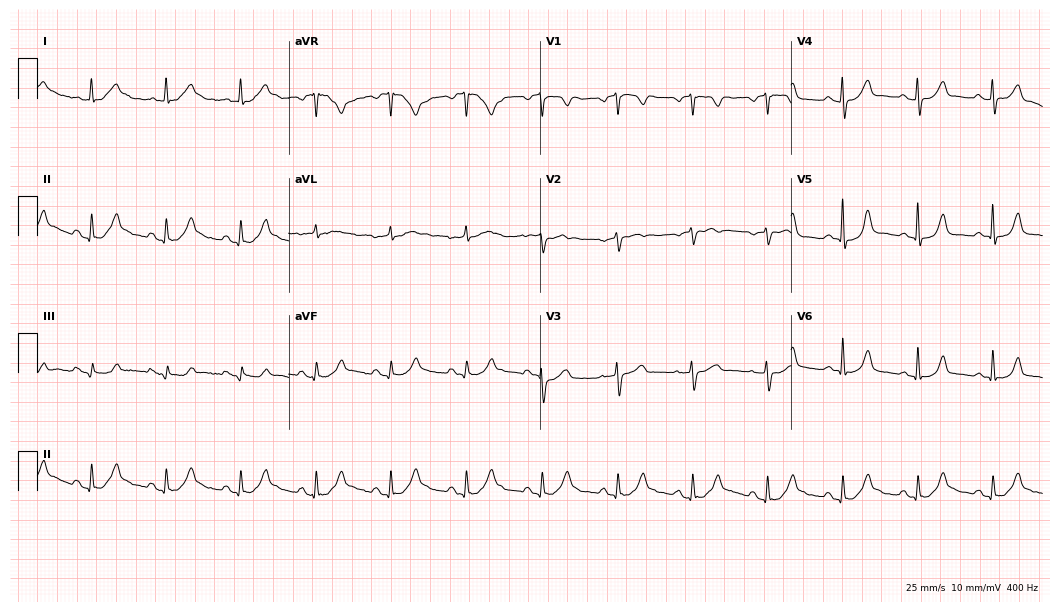
12-lead ECG from a woman, 77 years old. Screened for six findings — first-degree AV block, right bundle branch block (RBBB), left bundle branch block (LBBB), sinus bradycardia, atrial fibrillation (AF), sinus tachycardia — none is recorded.